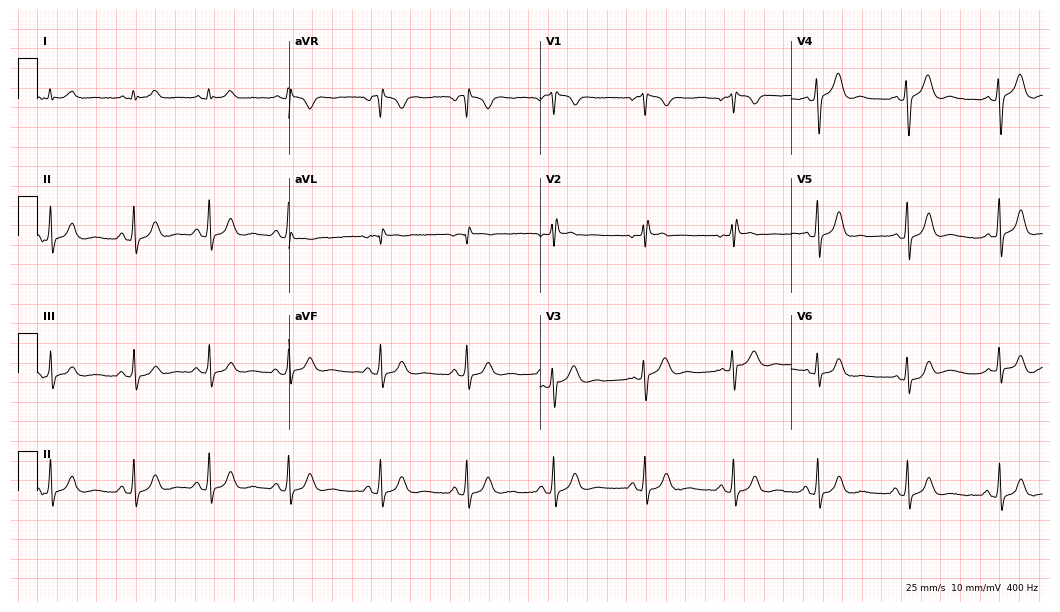
12-lead ECG from a 17-year-old female. Screened for six findings — first-degree AV block, right bundle branch block, left bundle branch block, sinus bradycardia, atrial fibrillation, sinus tachycardia — none is recorded. Other findings, if any, are not listed.